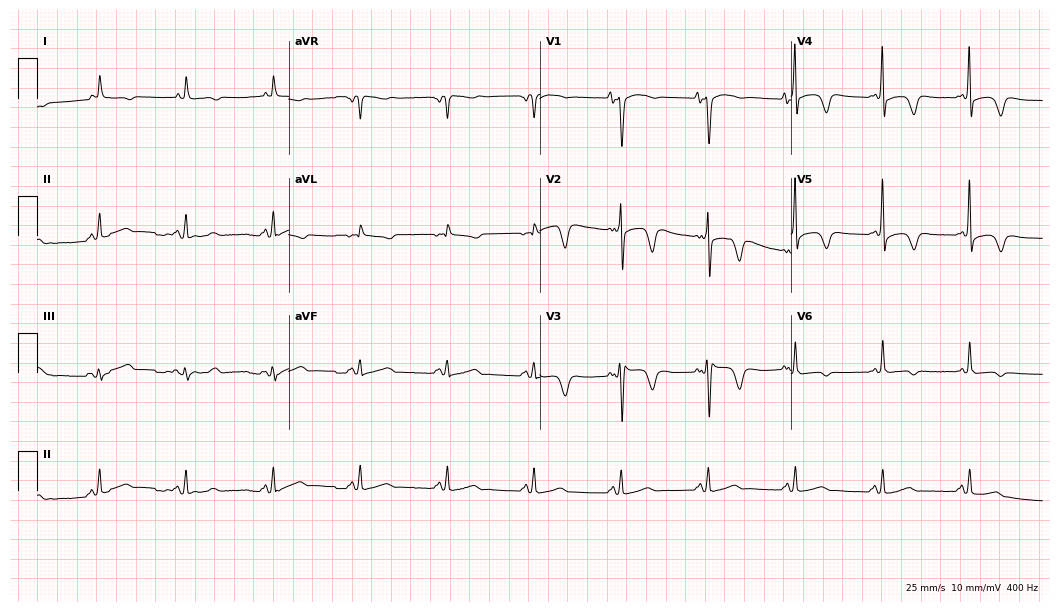
12-lead ECG from an 83-year-old female. Screened for six findings — first-degree AV block, right bundle branch block, left bundle branch block, sinus bradycardia, atrial fibrillation, sinus tachycardia — none is recorded.